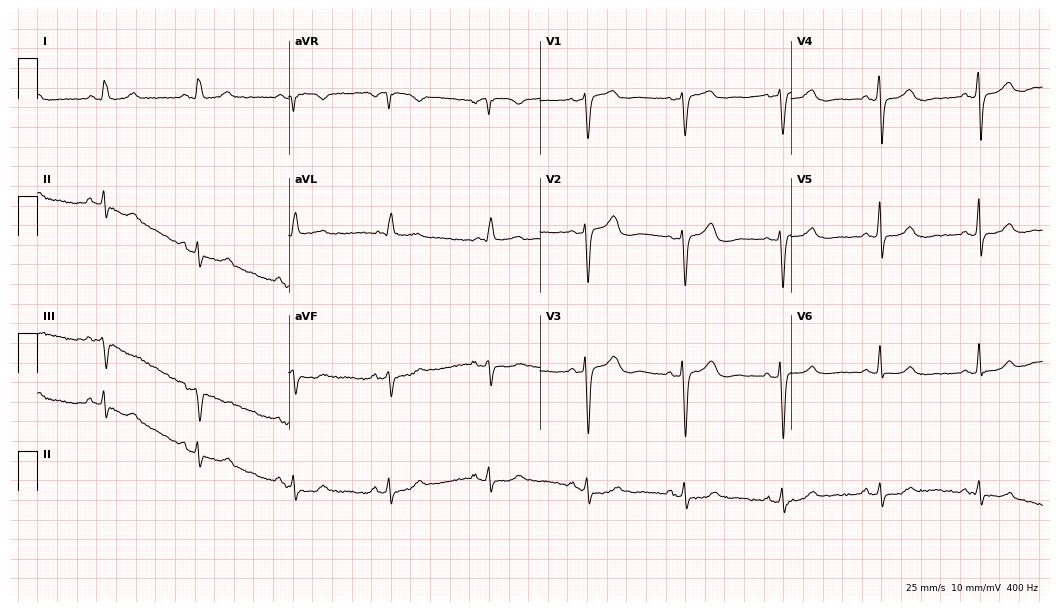
Standard 12-lead ECG recorded from a 77-year-old female patient. None of these six findings is recorded: first-degree AV block, right bundle branch block (RBBB), left bundle branch block (LBBB), sinus bradycardia, atrial fibrillation (AF), sinus tachycardia.